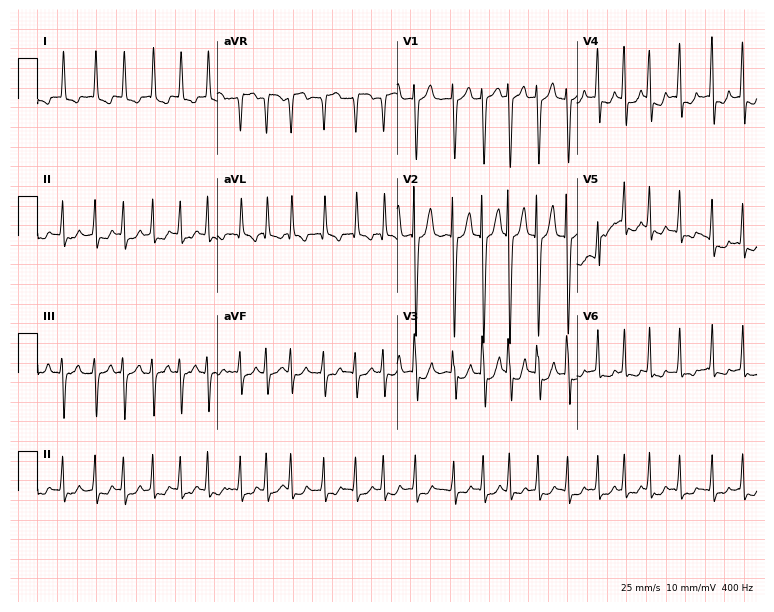
Resting 12-lead electrocardiogram (7.3-second recording at 400 Hz). Patient: a woman, 84 years old. None of these six findings is recorded: first-degree AV block, right bundle branch block, left bundle branch block, sinus bradycardia, atrial fibrillation, sinus tachycardia. Other findings, if any, are not listed.